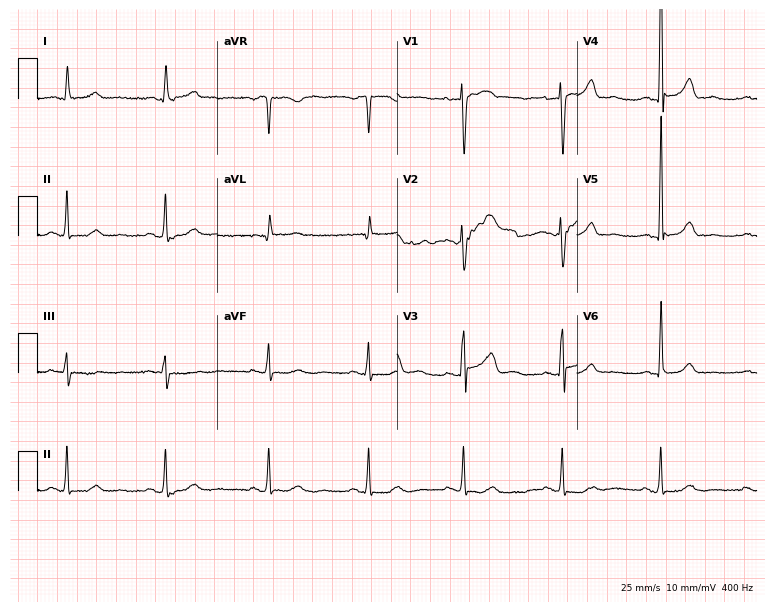
12-lead ECG from a 75-year-old woman. Screened for six findings — first-degree AV block, right bundle branch block (RBBB), left bundle branch block (LBBB), sinus bradycardia, atrial fibrillation (AF), sinus tachycardia — none is recorded. Findings outside these six are not listed.